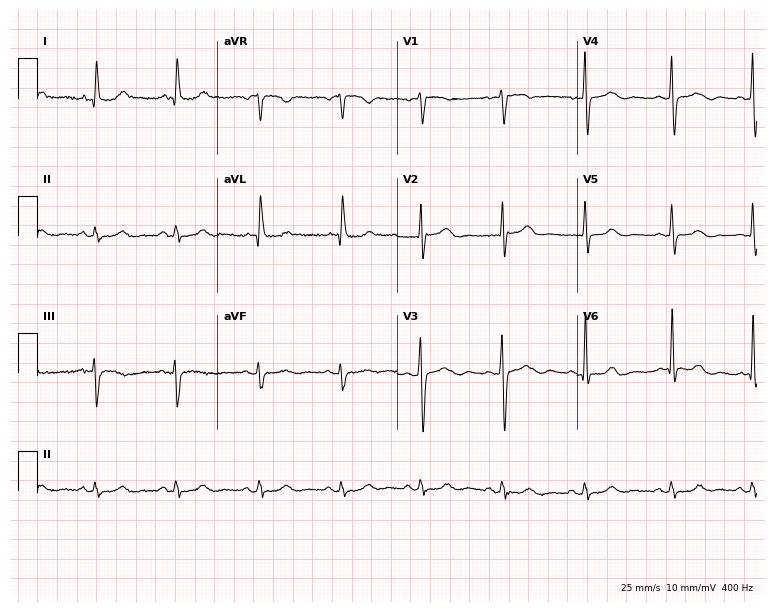
12-lead ECG from a 54-year-old woman (7.3-second recording at 400 Hz). Recorded interpretation: within normal limits.